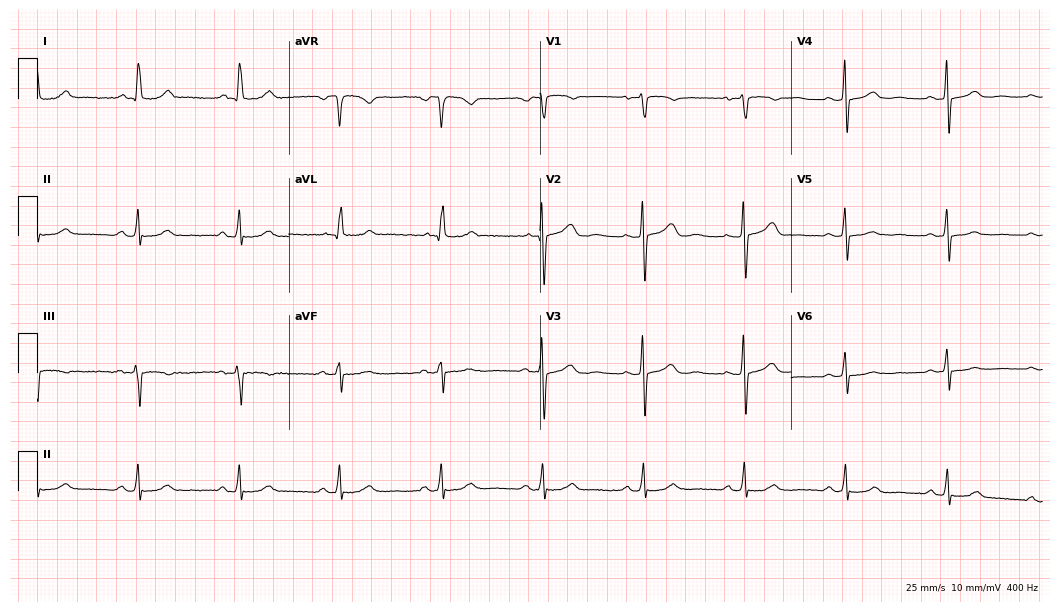
12-lead ECG from a 59-year-old woman (10.2-second recording at 400 Hz). No first-degree AV block, right bundle branch block (RBBB), left bundle branch block (LBBB), sinus bradycardia, atrial fibrillation (AF) or sinus tachycardia recorded for this tracing. Findings outside these six are not listed.